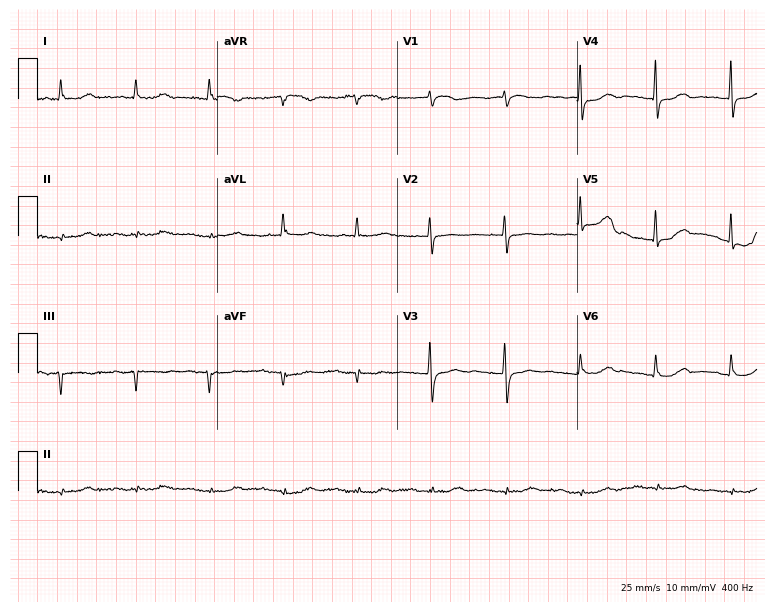
Resting 12-lead electrocardiogram. Patient: an 81-year-old female. None of these six findings is recorded: first-degree AV block, right bundle branch block, left bundle branch block, sinus bradycardia, atrial fibrillation, sinus tachycardia.